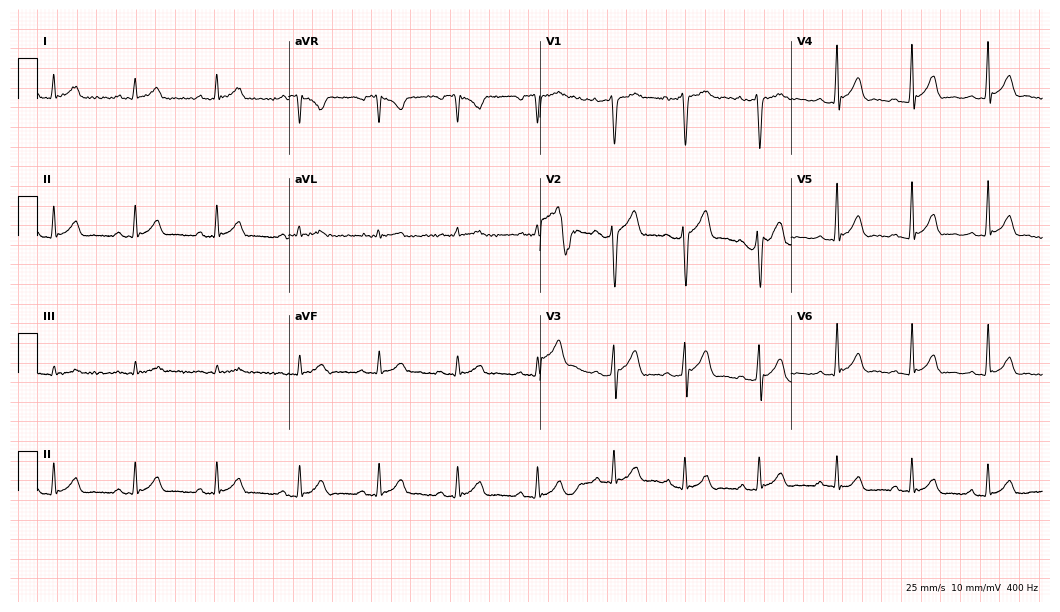
12-lead ECG (10.2-second recording at 400 Hz) from a woman, 28 years old. Labelled as a normal ECG.